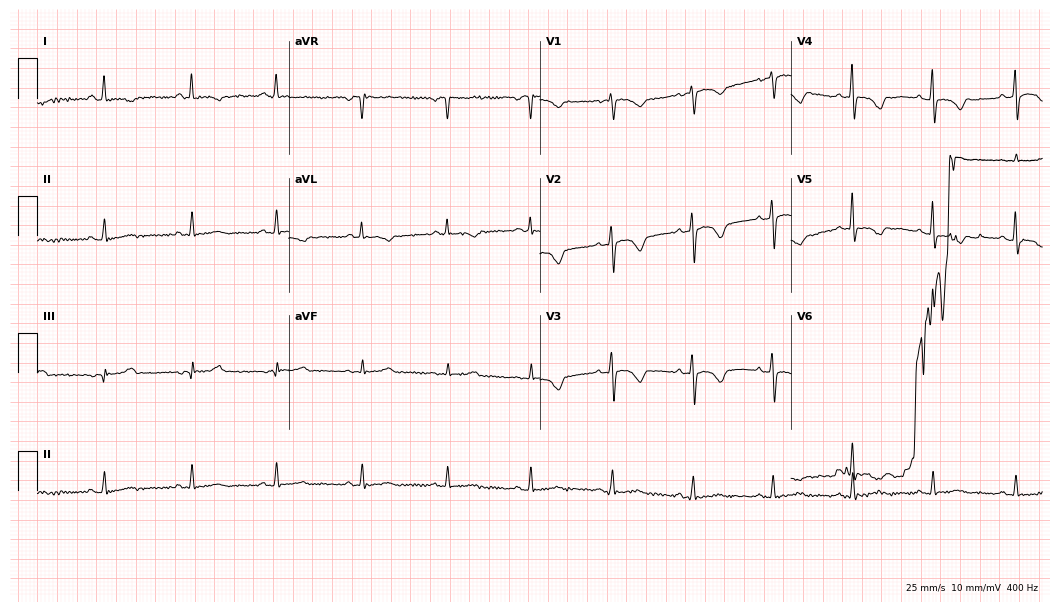
ECG (10.2-second recording at 400 Hz) — a woman, 58 years old. Screened for six findings — first-degree AV block, right bundle branch block (RBBB), left bundle branch block (LBBB), sinus bradycardia, atrial fibrillation (AF), sinus tachycardia — none is recorded.